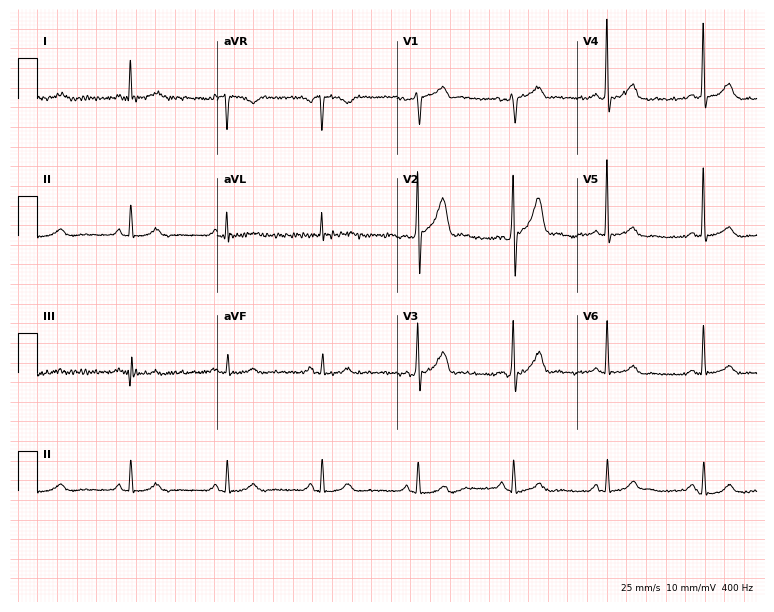
ECG (7.3-second recording at 400 Hz) — a male, 60 years old. Screened for six findings — first-degree AV block, right bundle branch block, left bundle branch block, sinus bradycardia, atrial fibrillation, sinus tachycardia — none is recorded. Other findings, if any, are not listed.